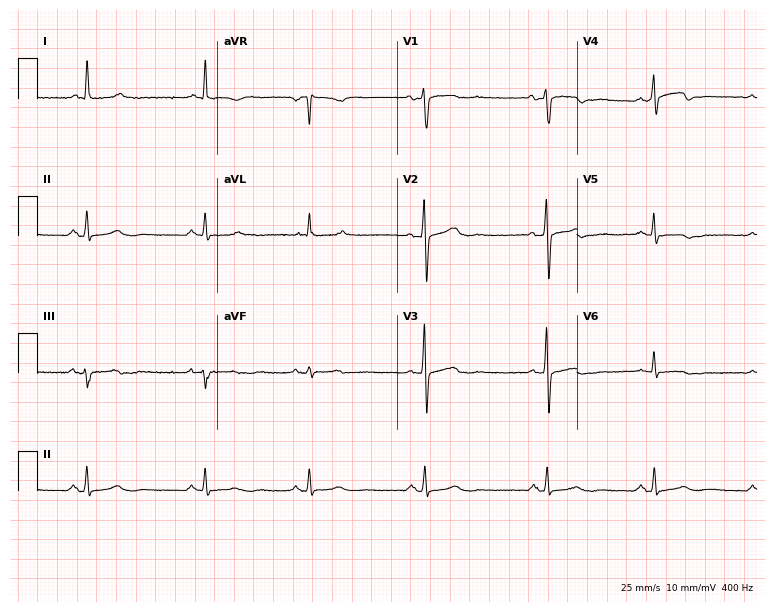
Standard 12-lead ECG recorded from a woman, 53 years old. None of these six findings is recorded: first-degree AV block, right bundle branch block (RBBB), left bundle branch block (LBBB), sinus bradycardia, atrial fibrillation (AF), sinus tachycardia.